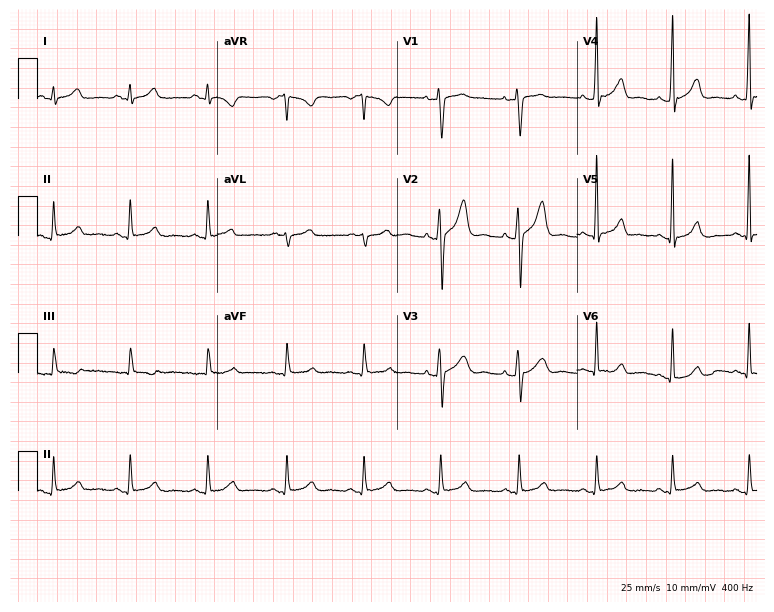
Resting 12-lead electrocardiogram. Patient: a 29-year-old man. Read as a normal ECG.